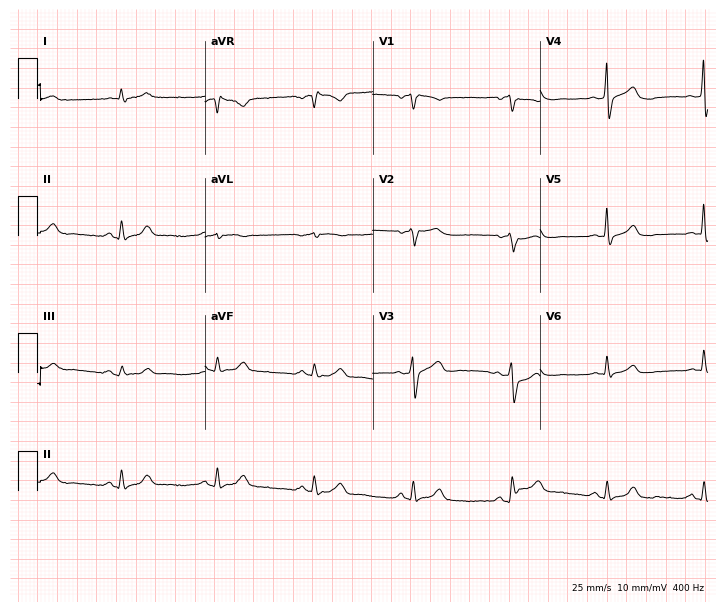
Standard 12-lead ECG recorded from a 60-year-old male patient. None of these six findings is recorded: first-degree AV block, right bundle branch block, left bundle branch block, sinus bradycardia, atrial fibrillation, sinus tachycardia. Findings outside these six are not listed.